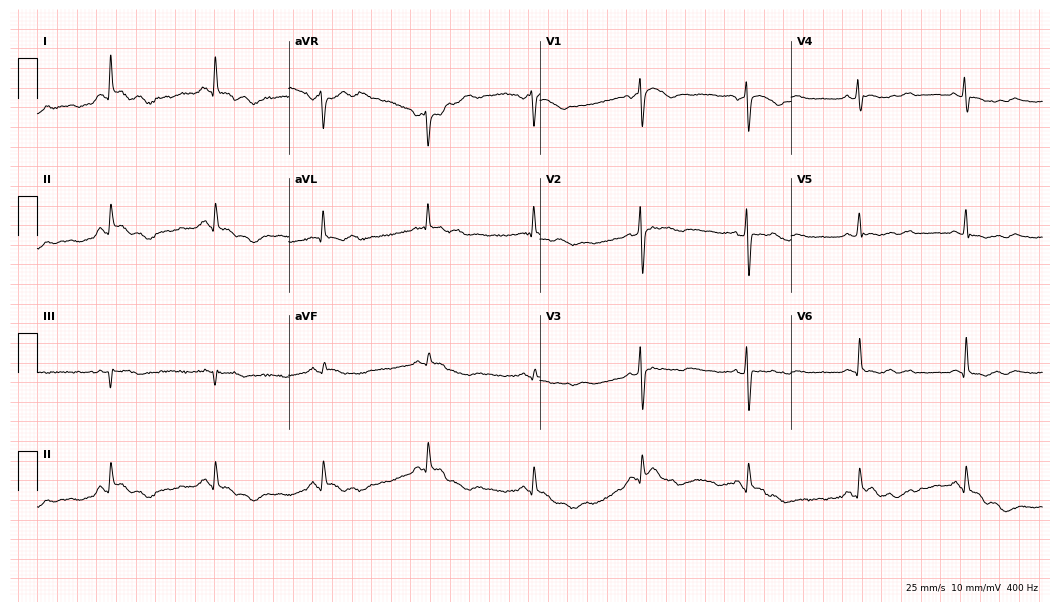
12-lead ECG from a woman, 45 years old. Screened for six findings — first-degree AV block, right bundle branch block, left bundle branch block, sinus bradycardia, atrial fibrillation, sinus tachycardia — none is recorded.